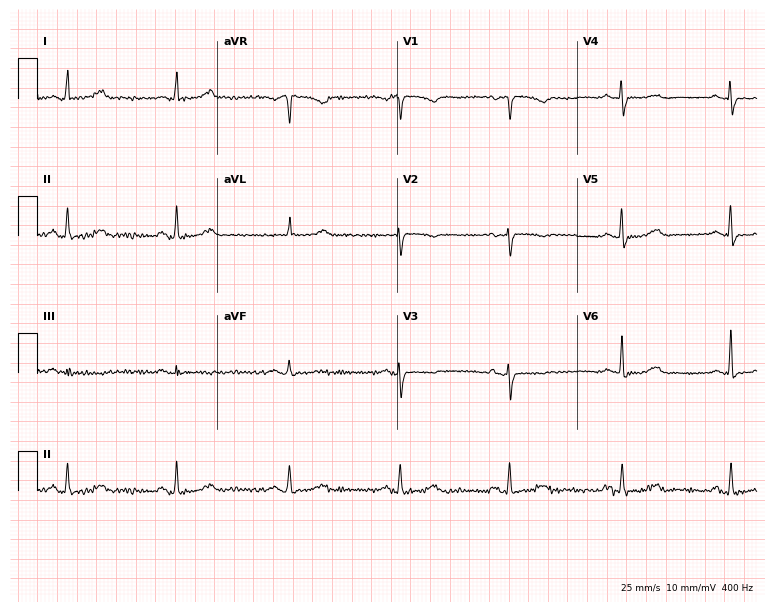
12-lead ECG from a female, 78 years old. Labelled as a normal ECG.